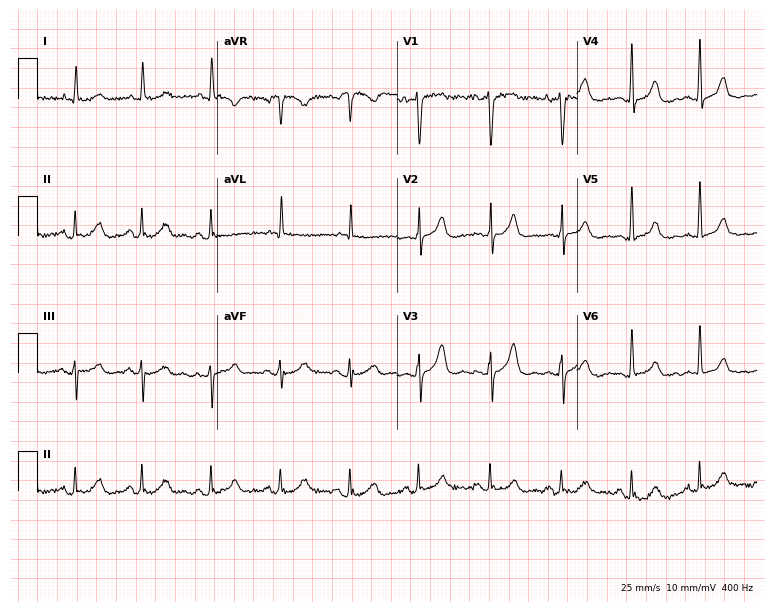
Standard 12-lead ECG recorded from a 71-year-old woman (7.3-second recording at 400 Hz). Read as a normal ECG.